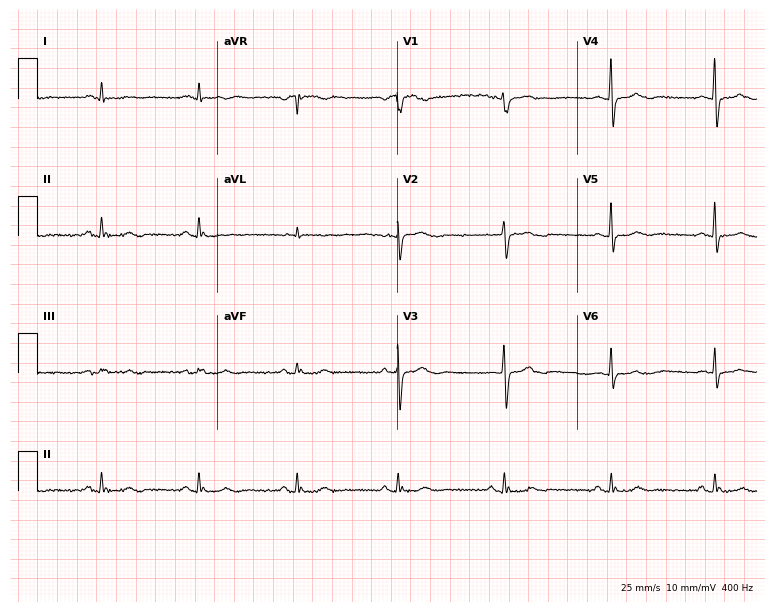
Electrocardiogram (7.3-second recording at 400 Hz), a woman, 79 years old. Overall reading on record: normal ECG.